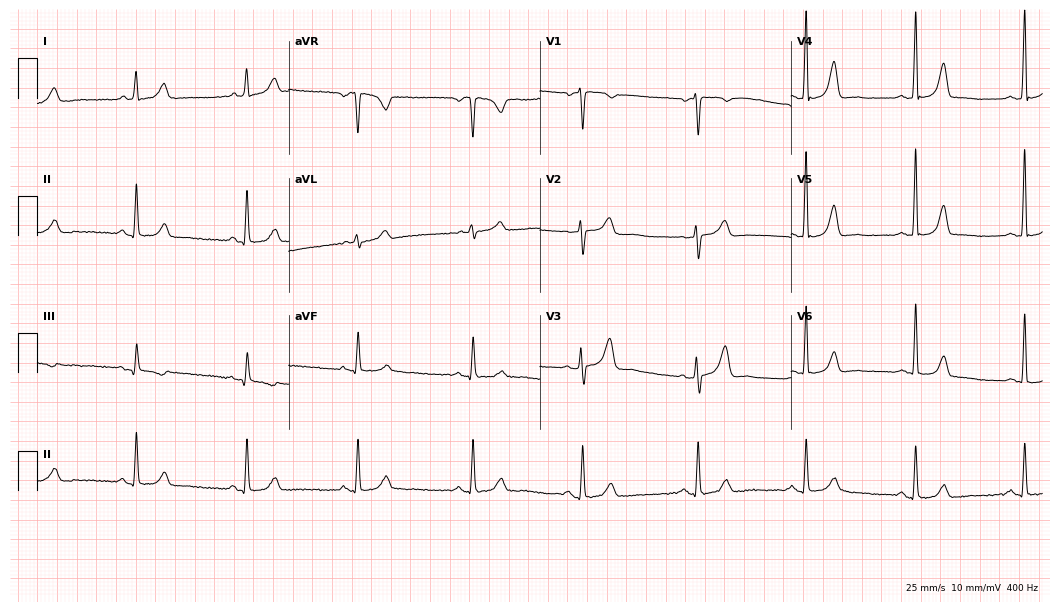
12-lead ECG from a 40-year-old female patient (10.2-second recording at 400 Hz). Recorded interpretation: within normal limits.